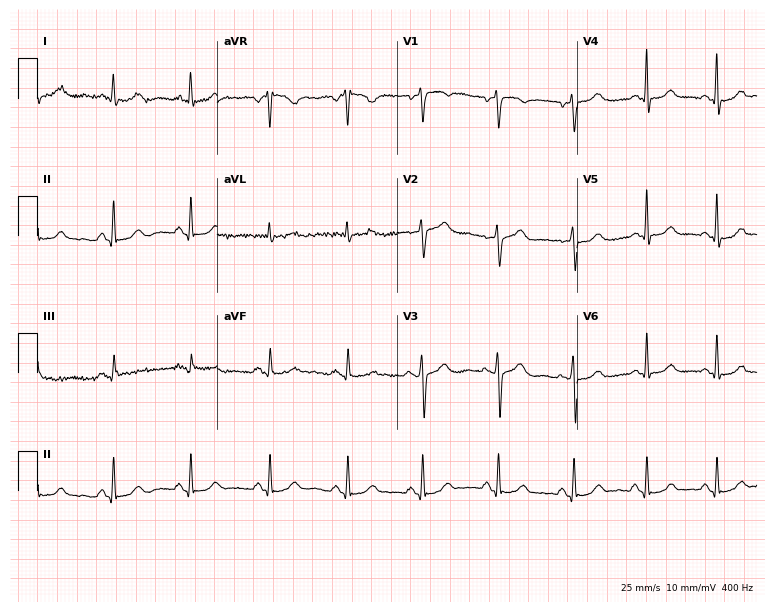
Standard 12-lead ECG recorded from a female patient, 51 years old (7.3-second recording at 400 Hz). Read as a normal ECG.